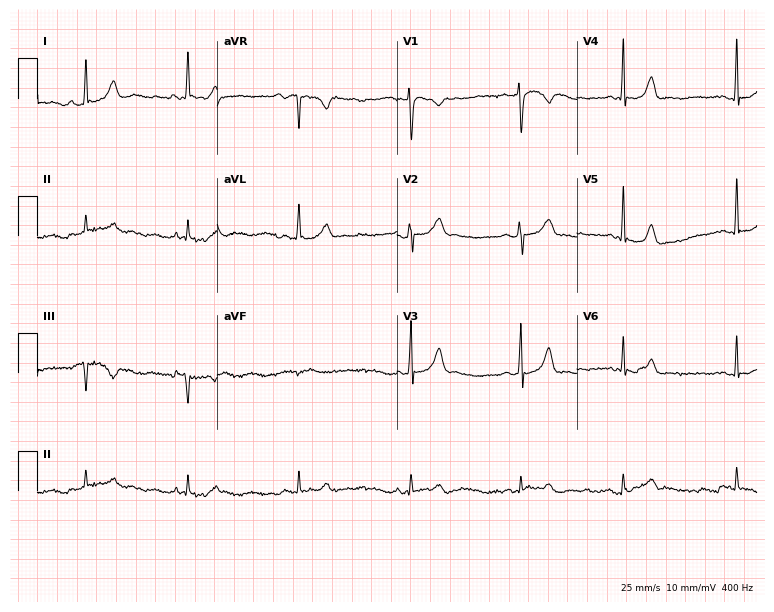
ECG (7.3-second recording at 400 Hz) — a female, 23 years old. Labelled as a normal ECG.